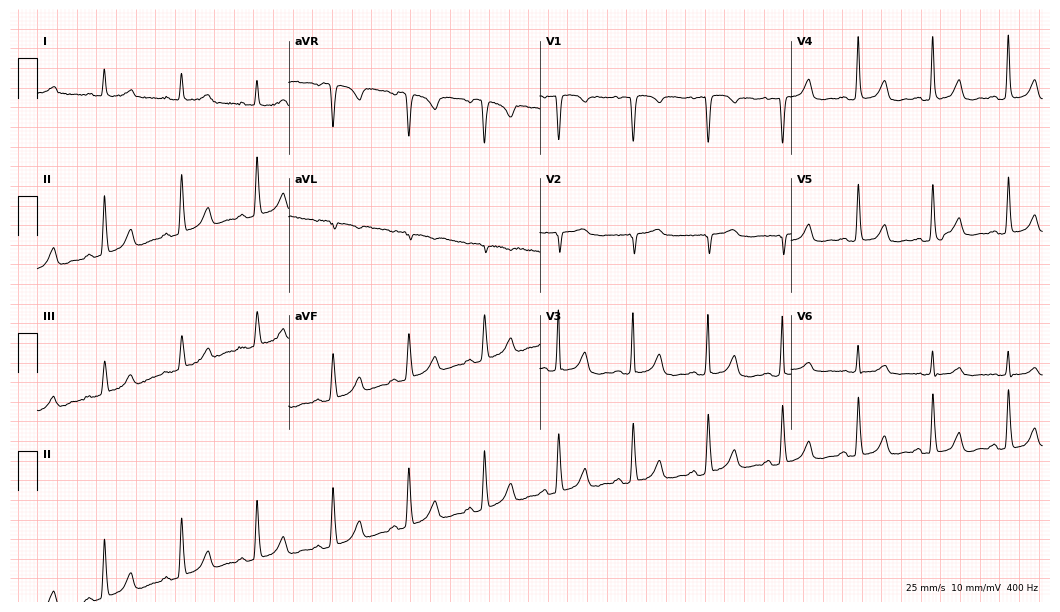
Electrocardiogram (10.2-second recording at 400 Hz), a female patient, 58 years old. Of the six screened findings (first-degree AV block, right bundle branch block (RBBB), left bundle branch block (LBBB), sinus bradycardia, atrial fibrillation (AF), sinus tachycardia), none is recorded. Other findings, if any, are not listed.